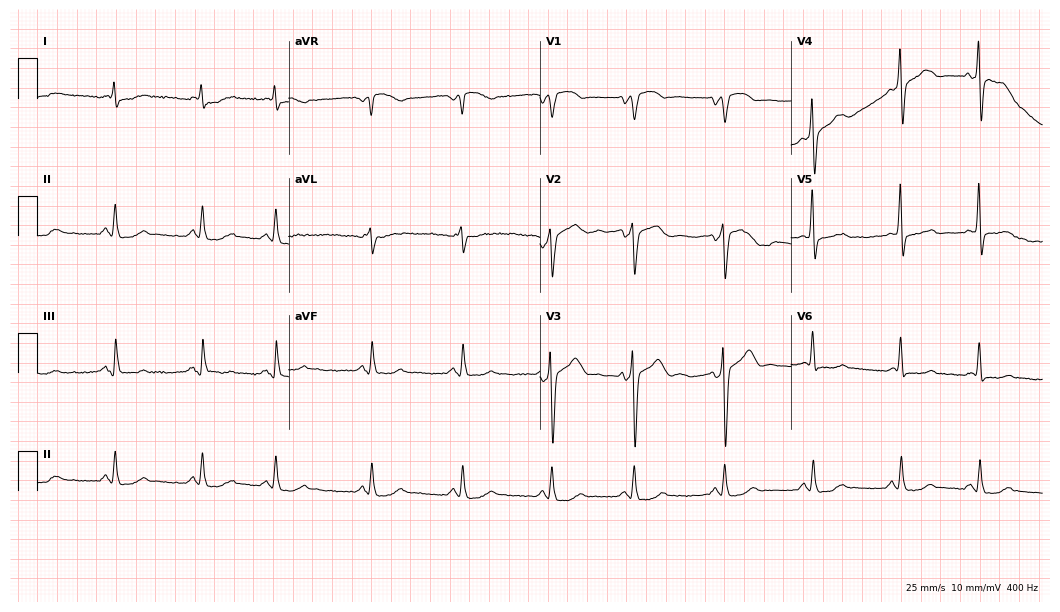
ECG (10.2-second recording at 400 Hz) — a male, 74 years old. Screened for six findings — first-degree AV block, right bundle branch block, left bundle branch block, sinus bradycardia, atrial fibrillation, sinus tachycardia — none is recorded.